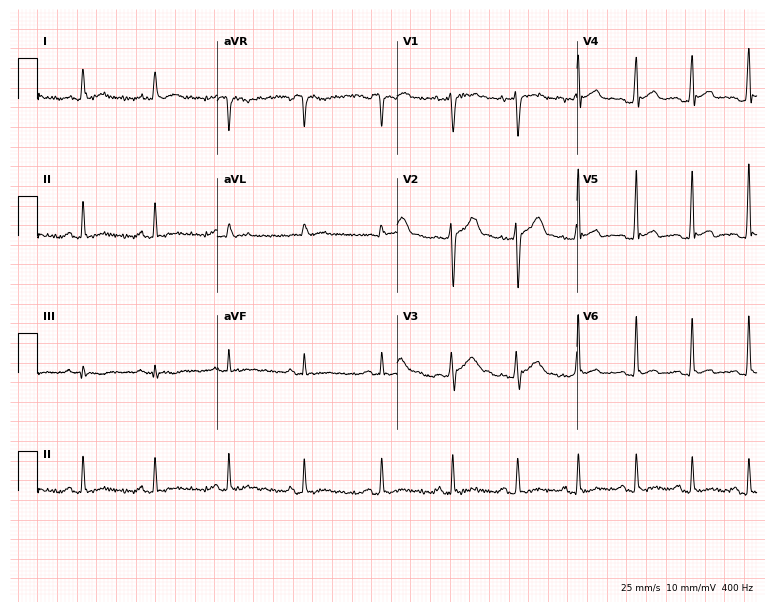
12-lead ECG from a male, 38 years old (7.3-second recording at 400 Hz). Recorded interpretation: within normal limits.